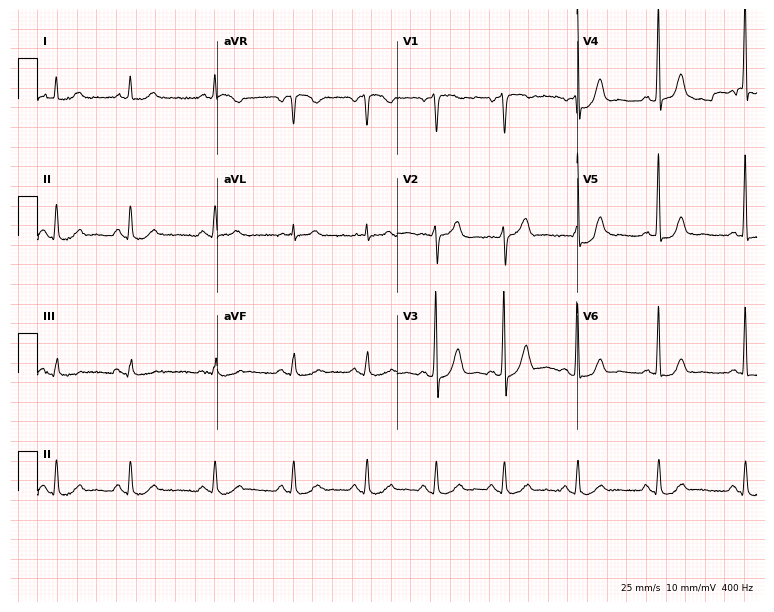
Electrocardiogram (7.3-second recording at 400 Hz), a male patient, 70 years old. Of the six screened findings (first-degree AV block, right bundle branch block, left bundle branch block, sinus bradycardia, atrial fibrillation, sinus tachycardia), none is recorded. Only these six findings were labelled.